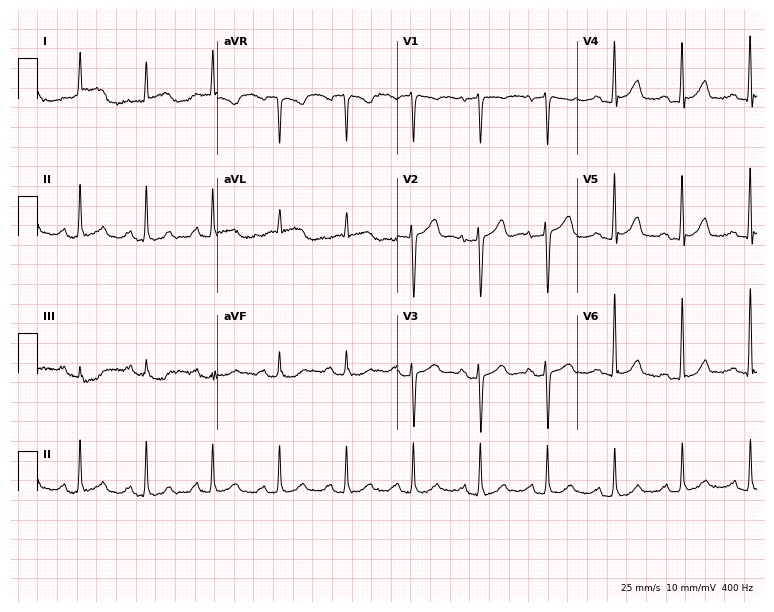
ECG (7.3-second recording at 400 Hz) — a male, 84 years old. Labelled as a normal ECG.